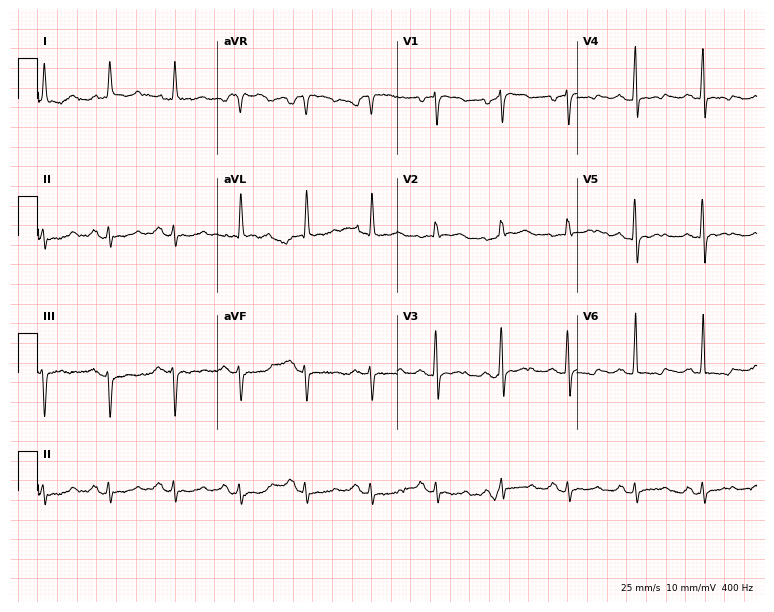
12-lead ECG from a female, 76 years old. Screened for six findings — first-degree AV block, right bundle branch block, left bundle branch block, sinus bradycardia, atrial fibrillation, sinus tachycardia — none is recorded.